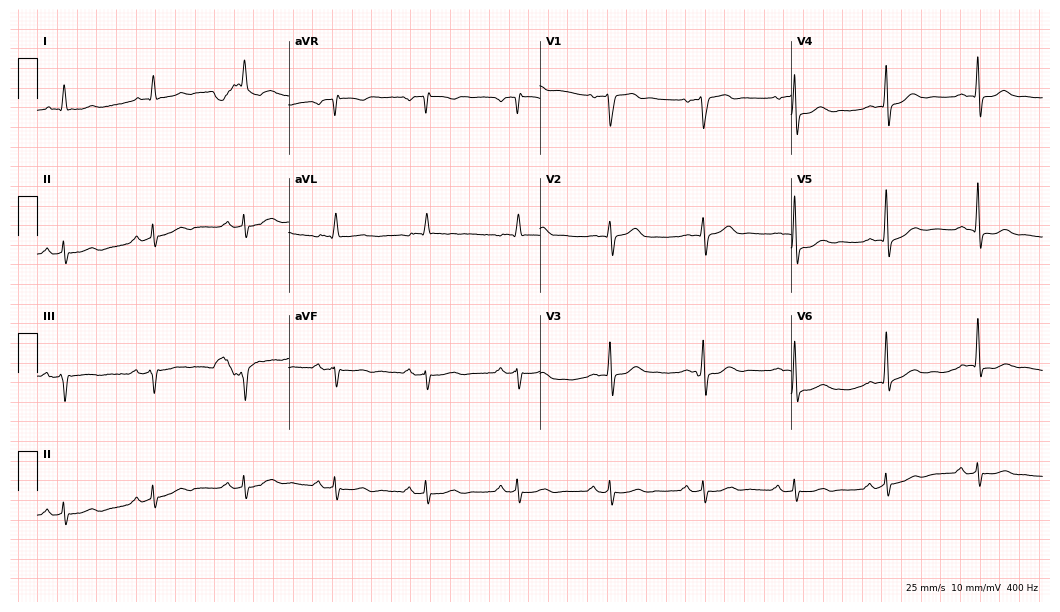
Resting 12-lead electrocardiogram (10.2-second recording at 400 Hz). Patient: a man, 75 years old. None of these six findings is recorded: first-degree AV block, right bundle branch block (RBBB), left bundle branch block (LBBB), sinus bradycardia, atrial fibrillation (AF), sinus tachycardia.